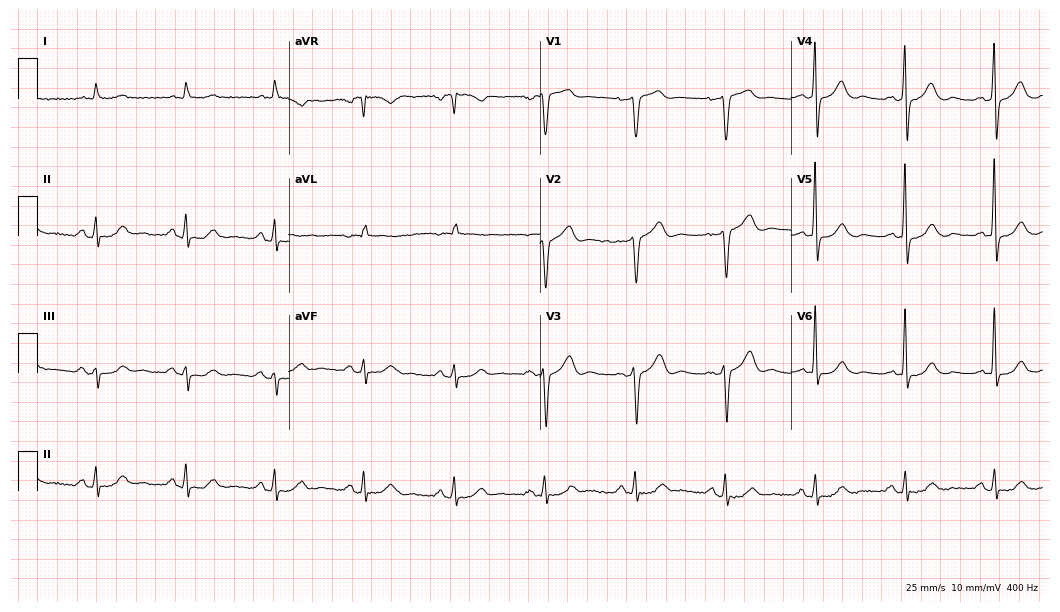
12-lead ECG from an 83-year-old male. Screened for six findings — first-degree AV block, right bundle branch block, left bundle branch block, sinus bradycardia, atrial fibrillation, sinus tachycardia — none is recorded.